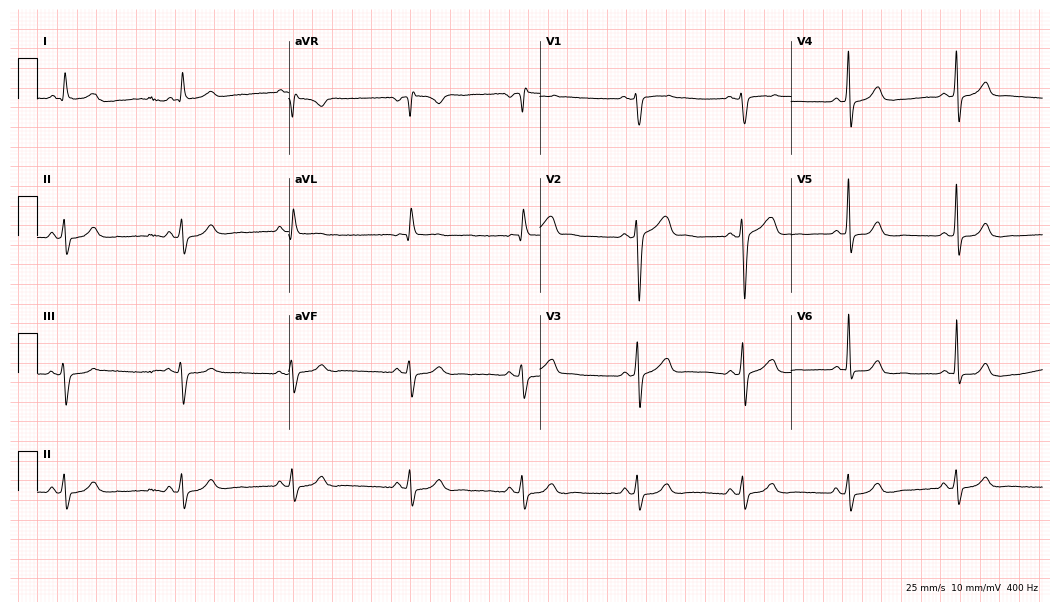
ECG (10.2-second recording at 400 Hz) — a man, 68 years old. Screened for six findings — first-degree AV block, right bundle branch block, left bundle branch block, sinus bradycardia, atrial fibrillation, sinus tachycardia — none is recorded.